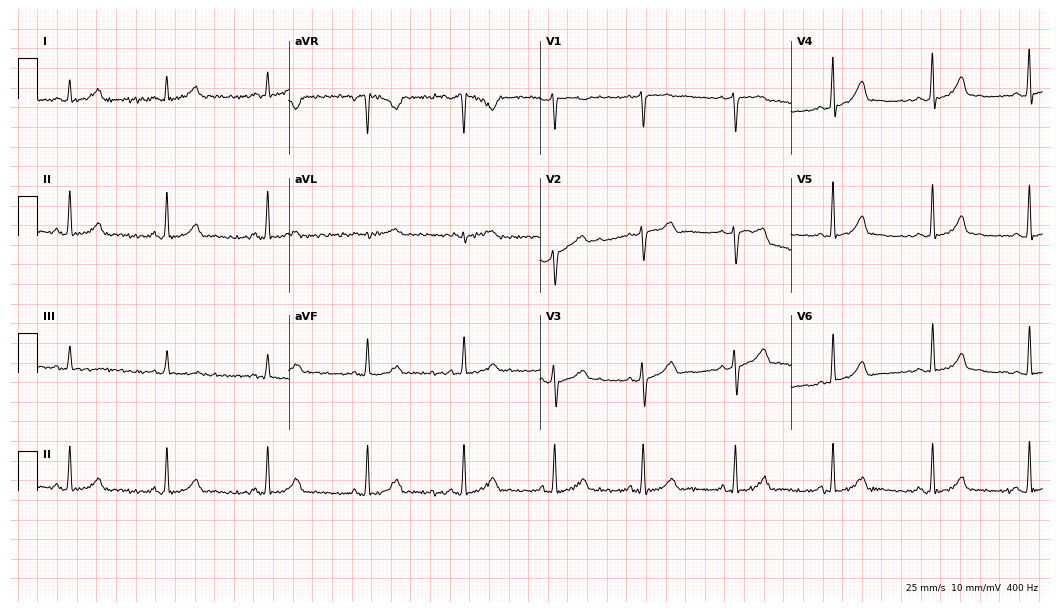
12-lead ECG from a 30-year-old female patient. Screened for six findings — first-degree AV block, right bundle branch block, left bundle branch block, sinus bradycardia, atrial fibrillation, sinus tachycardia — none is recorded.